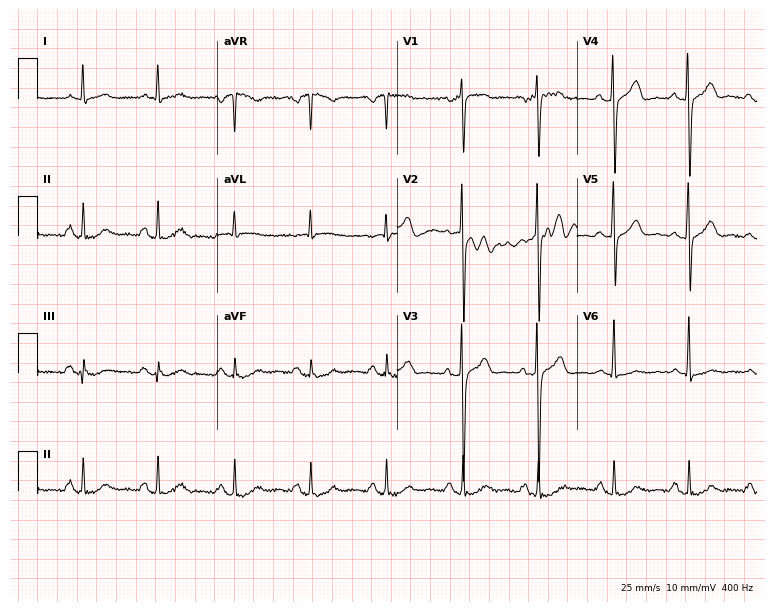
Resting 12-lead electrocardiogram (7.3-second recording at 400 Hz). Patient: a 73-year-old man. Read as a normal ECG.